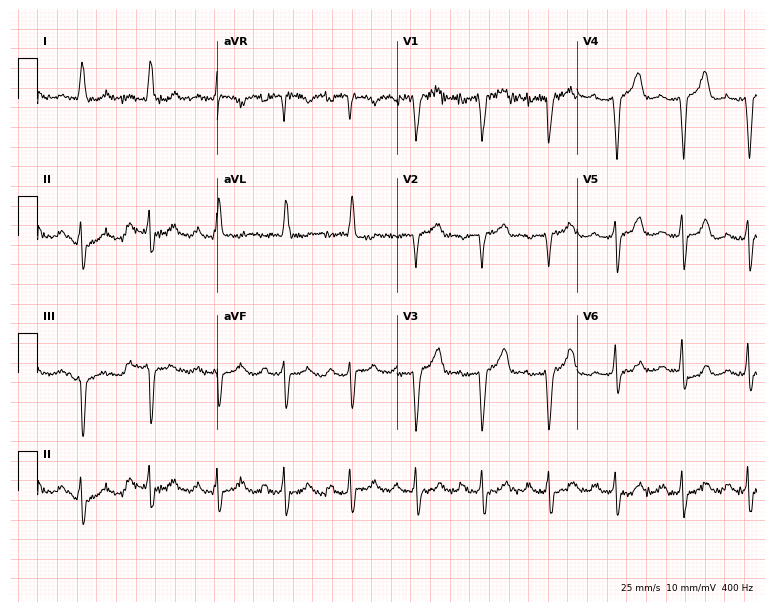
Standard 12-lead ECG recorded from a 75-year-old female (7.3-second recording at 400 Hz). None of these six findings is recorded: first-degree AV block, right bundle branch block, left bundle branch block, sinus bradycardia, atrial fibrillation, sinus tachycardia. Findings outside these six are not listed.